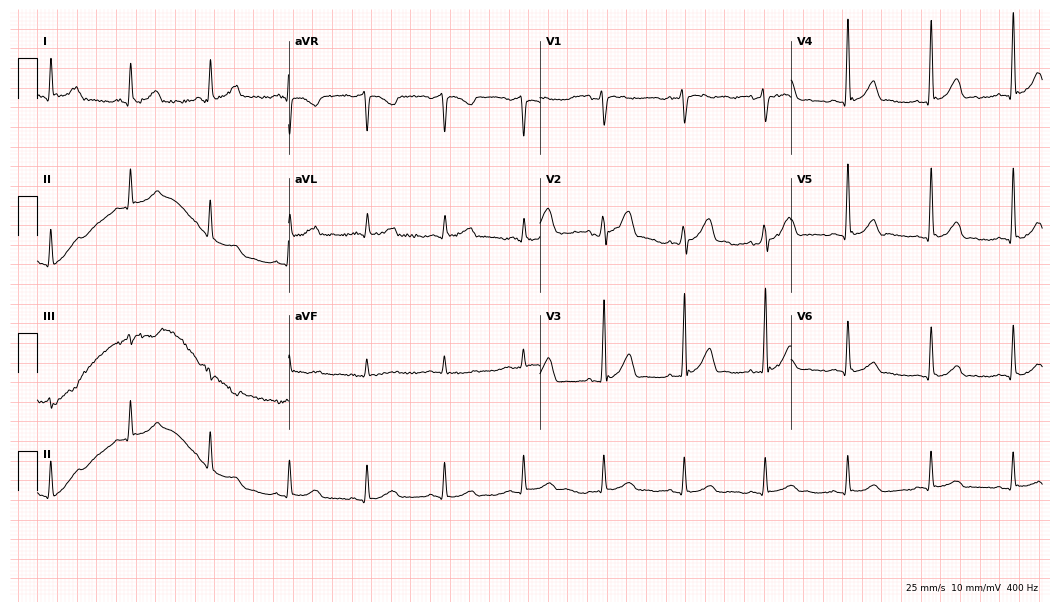
12-lead ECG from a 40-year-old male patient. Recorded interpretation: within normal limits.